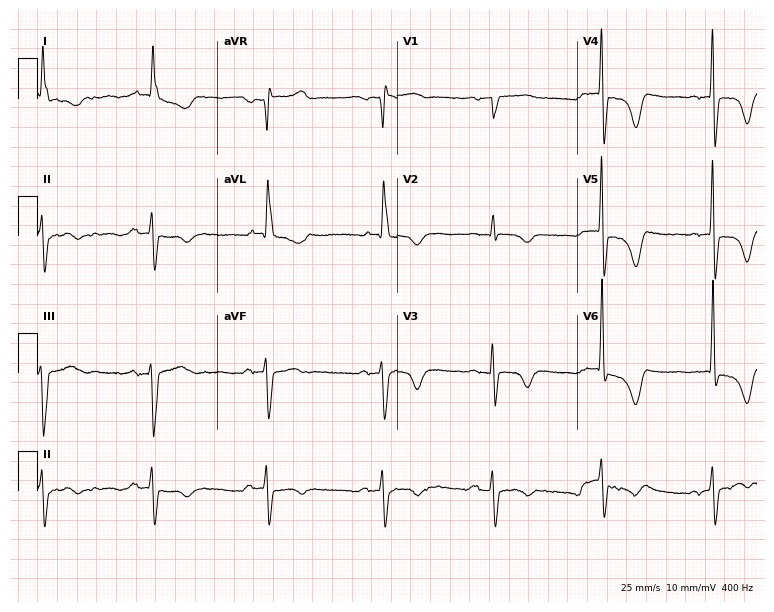
ECG (7.3-second recording at 400 Hz) — a female, 80 years old. Screened for six findings — first-degree AV block, right bundle branch block (RBBB), left bundle branch block (LBBB), sinus bradycardia, atrial fibrillation (AF), sinus tachycardia — none is recorded.